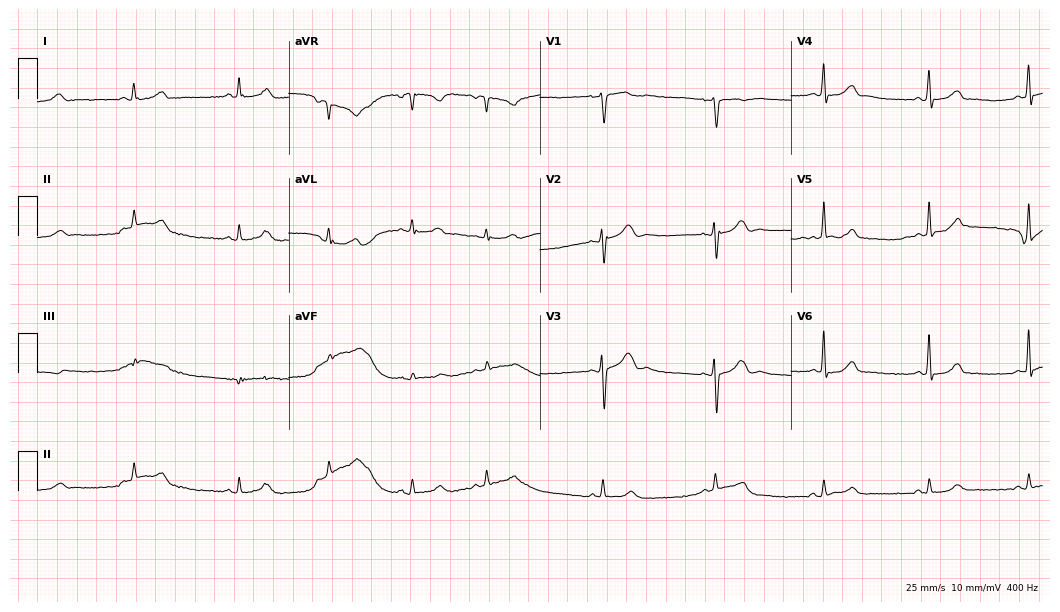
12-lead ECG from a female, 35 years old. Screened for six findings — first-degree AV block, right bundle branch block, left bundle branch block, sinus bradycardia, atrial fibrillation, sinus tachycardia — none is recorded. Only these six findings were labelled.